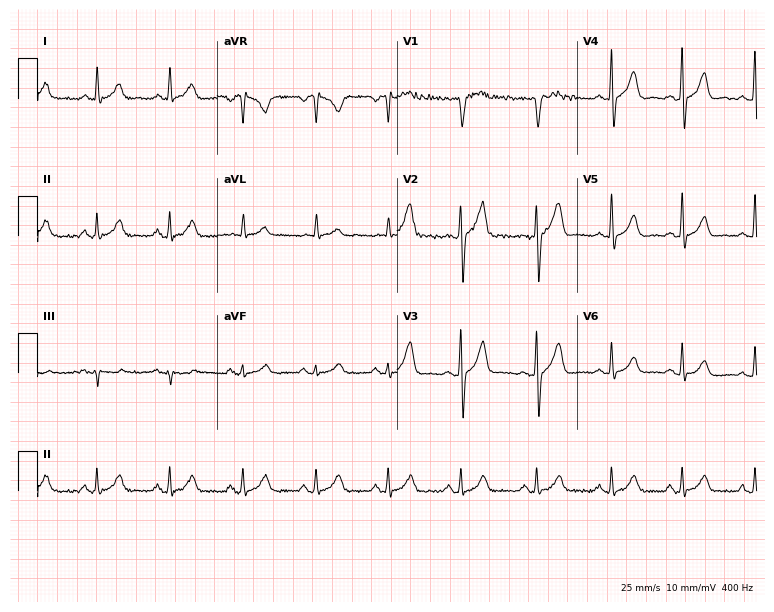
Electrocardiogram (7.3-second recording at 400 Hz), a 30-year-old male. Of the six screened findings (first-degree AV block, right bundle branch block, left bundle branch block, sinus bradycardia, atrial fibrillation, sinus tachycardia), none is recorded. Only these six findings were labelled.